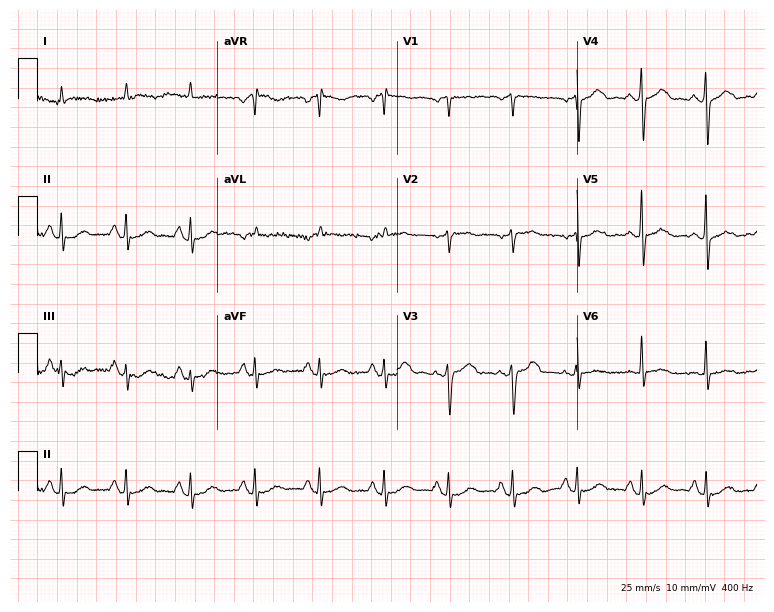
Resting 12-lead electrocardiogram (7.3-second recording at 400 Hz). Patient: a man, 85 years old. None of these six findings is recorded: first-degree AV block, right bundle branch block, left bundle branch block, sinus bradycardia, atrial fibrillation, sinus tachycardia. Findings outside these six are not listed.